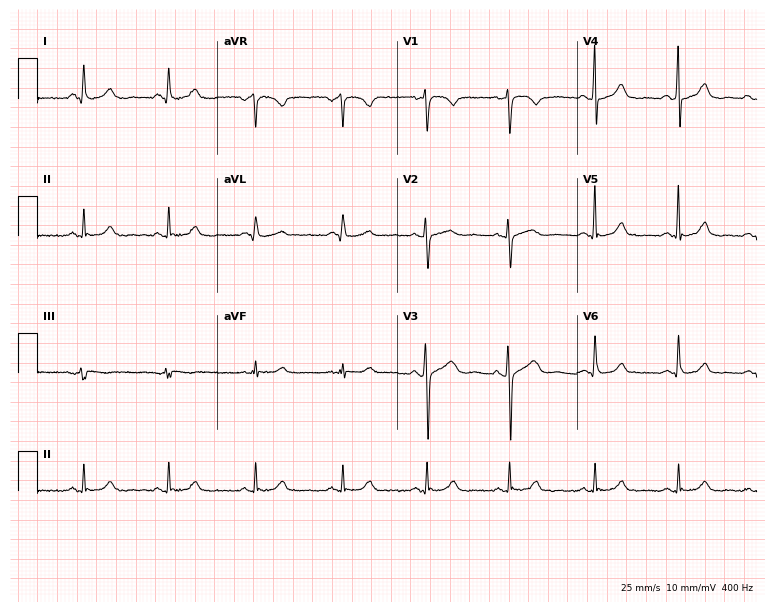
ECG (7.3-second recording at 400 Hz) — a 54-year-old woman. Labelled as a normal ECG.